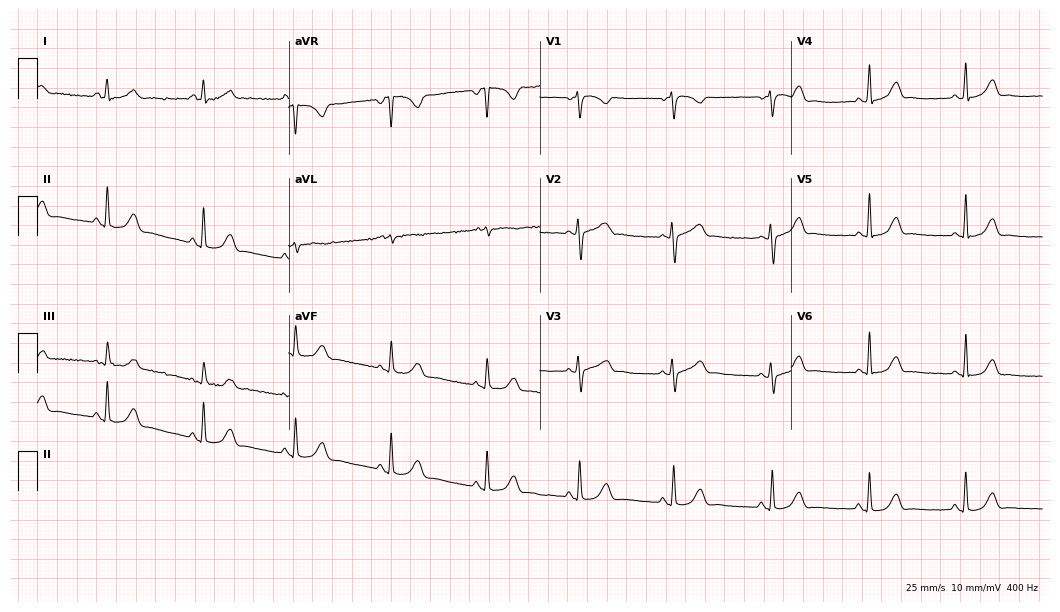
12-lead ECG from a 20-year-old woman (10.2-second recording at 400 Hz). Recorded interpretation: within normal limits.